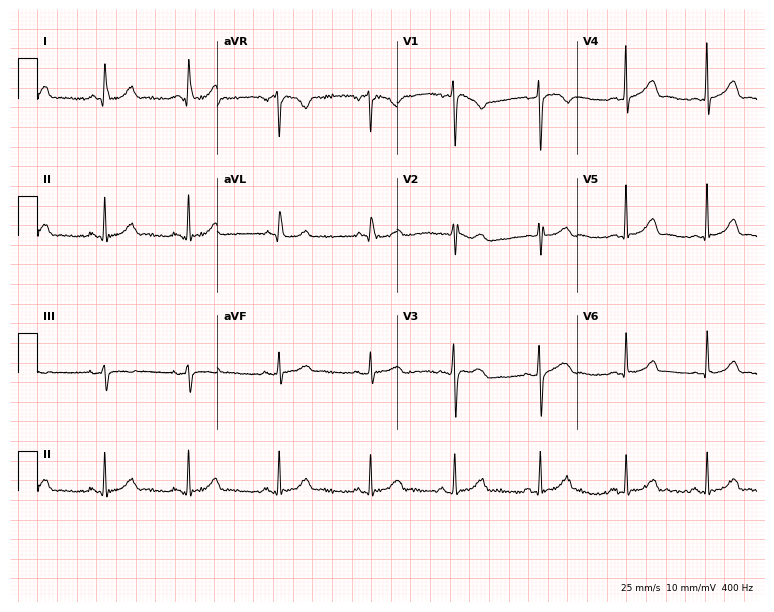
ECG — a 30-year-old woman. Labelled as a normal ECG.